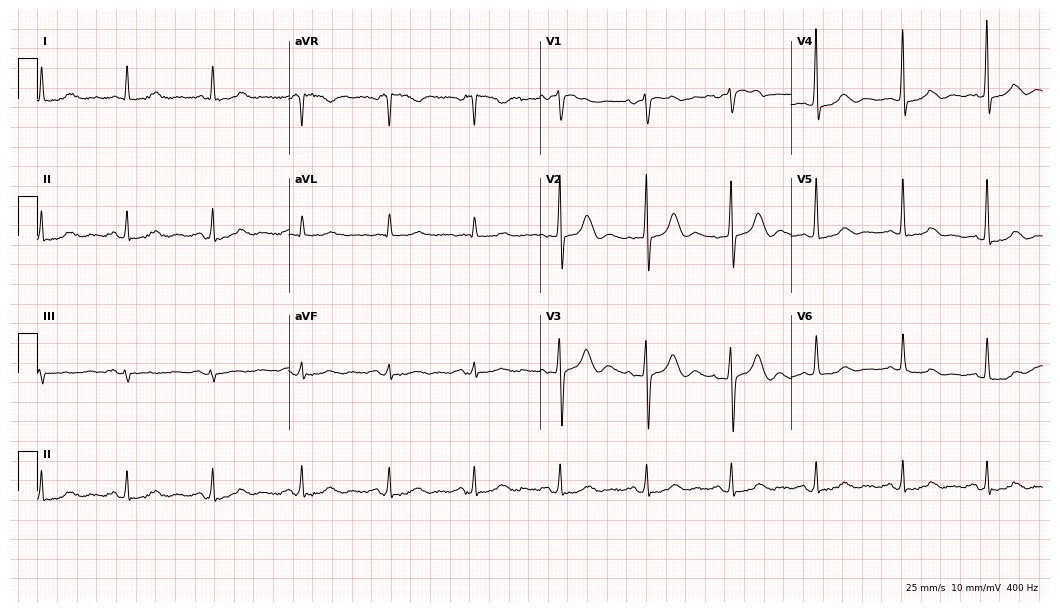
12-lead ECG from a woman, 85 years old. Recorded interpretation: within normal limits.